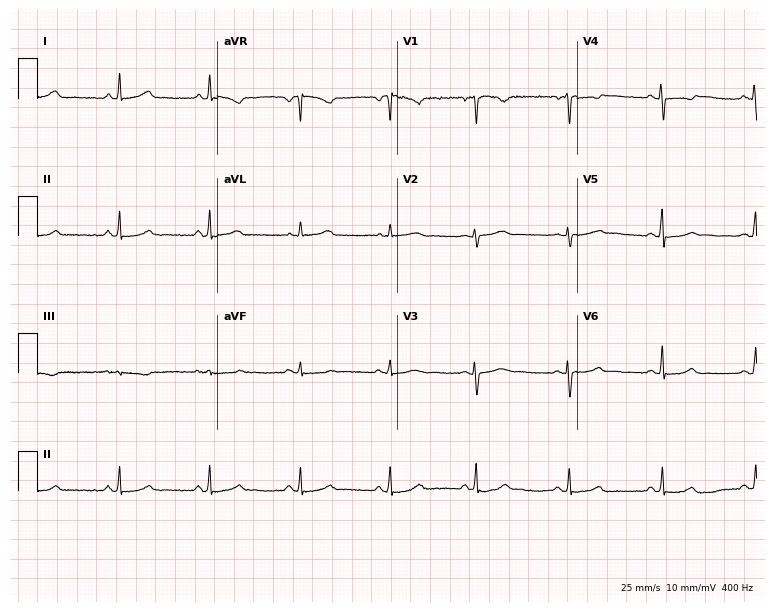
ECG (7.3-second recording at 400 Hz) — a woman, 45 years old. Labelled as a normal ECG.